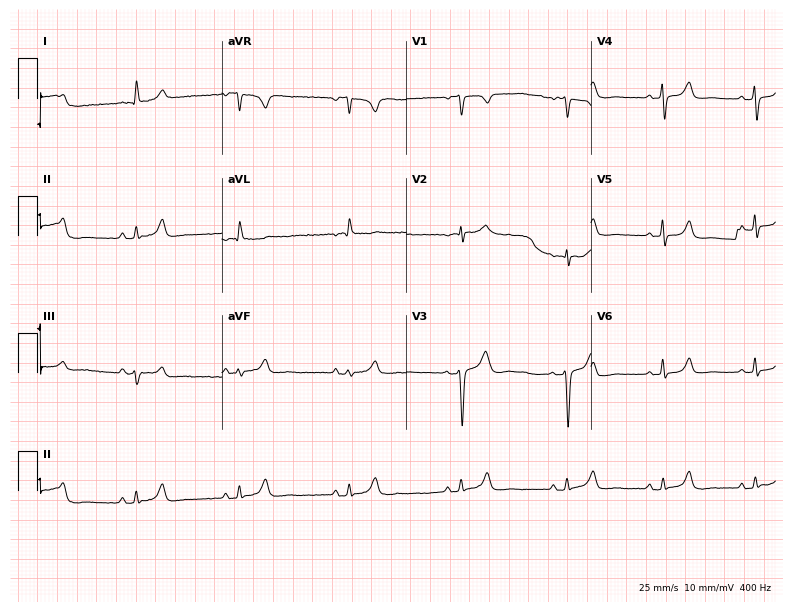
Resting 12-lead electrocardiogram. Patient: an 82-year-old woman. Read as a normal ECG.